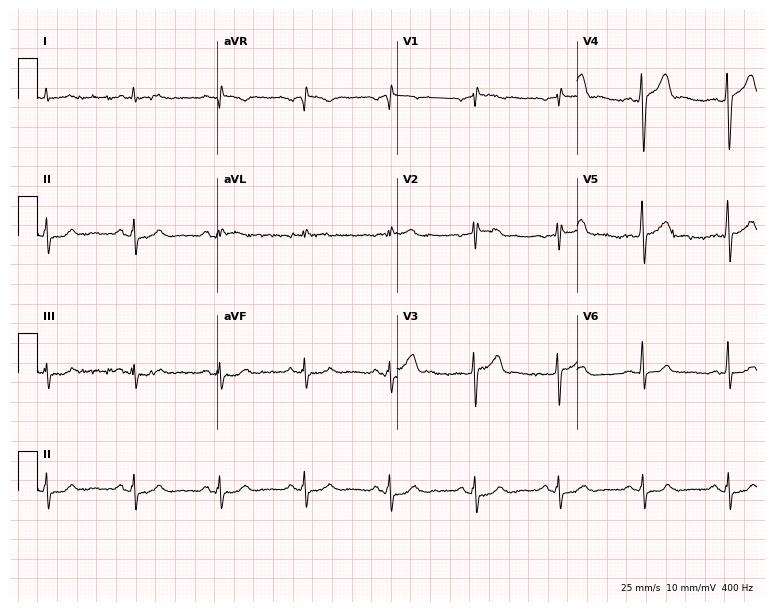
12-lead ECG from a 43-year-old male (7.3-second recording at 400 Hz). No first-degree AV block, right bundle branch block, left bundle branch block, sinus bradycardia, atrial fibrillation or sinus tachycardia recorded for this tracing. Other findings, if any, are not listed.